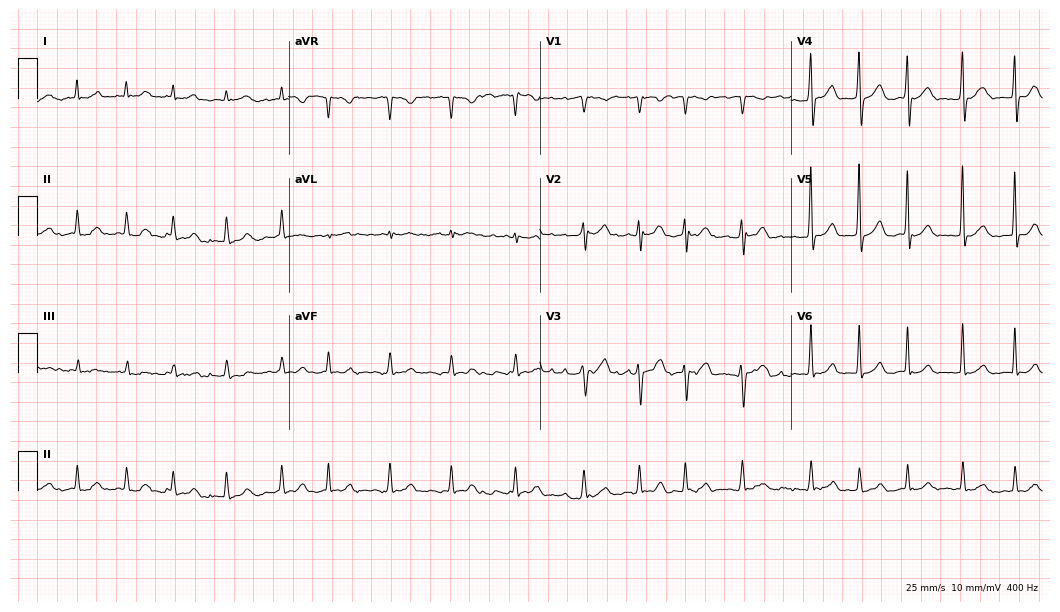
ECG (10.2-second recording at 400 Hz) — a male, 52 years old. Findings include atrial fibrillation (AF).